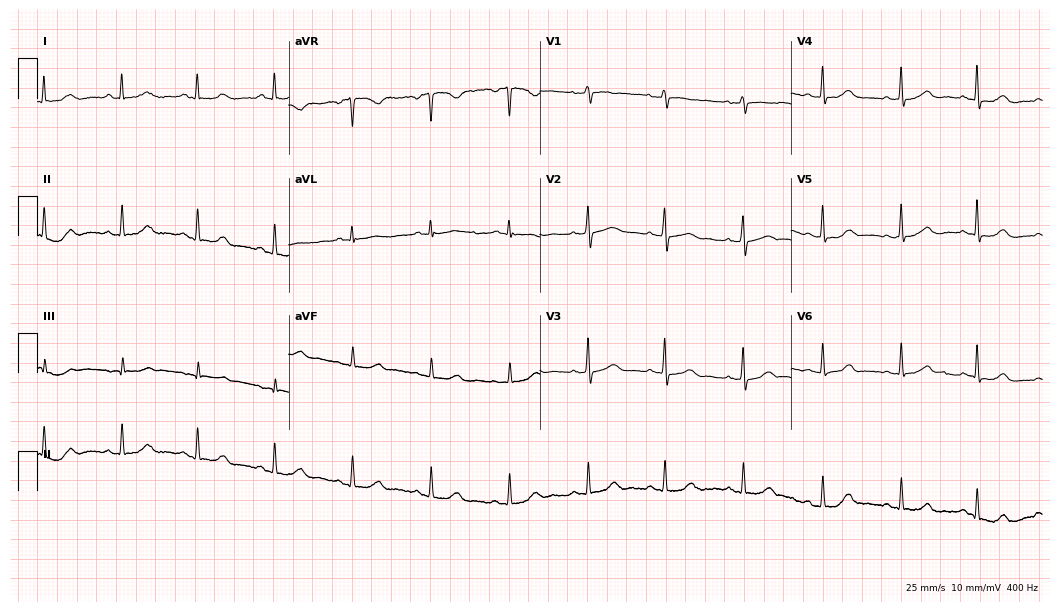
Standard 12-lead ECG recorded from a female, 54 years old (10.2-second recording at 400 Hz). Read as a normal ECG.